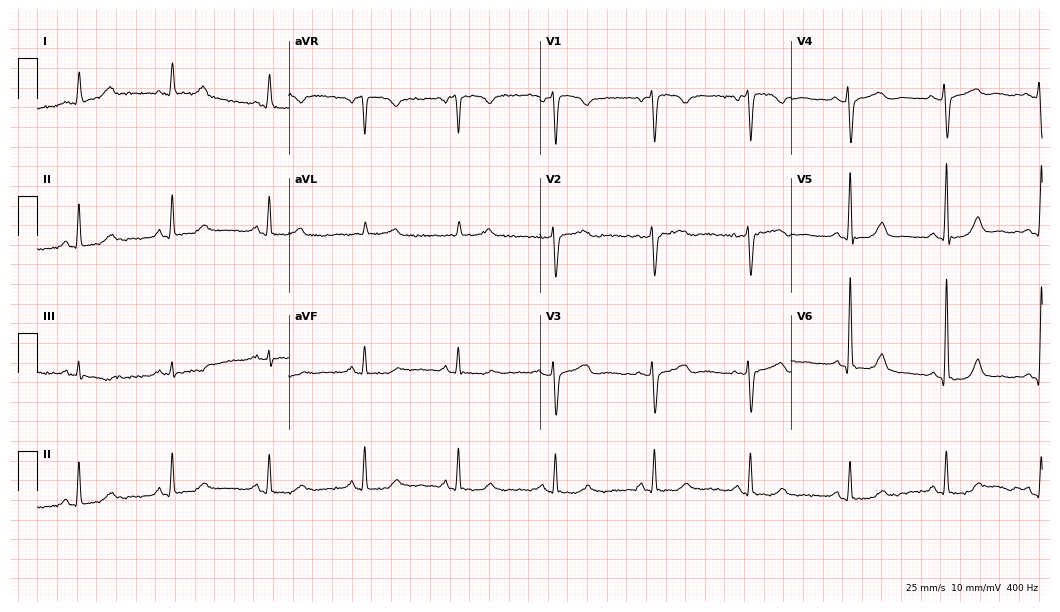
12-lead ECG from a female, 77 years old. Labelled as a normal ECG.